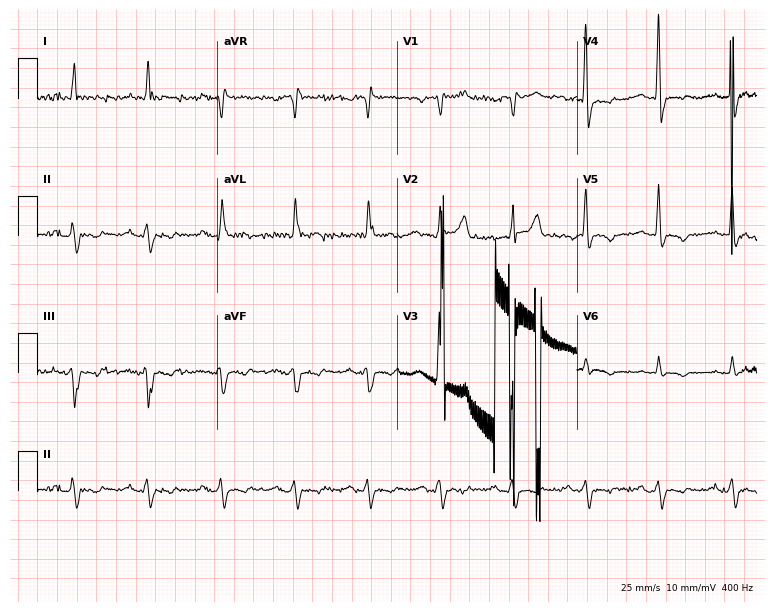
Resting 12-lead electrocardiogram. Patient: a 70-year-old male. None of these six findings is recorded: first-degree AV block, right bundle branch block, left bundle branch block, sinus bradycardia, atrial fibrillation, sinus tachycardia.